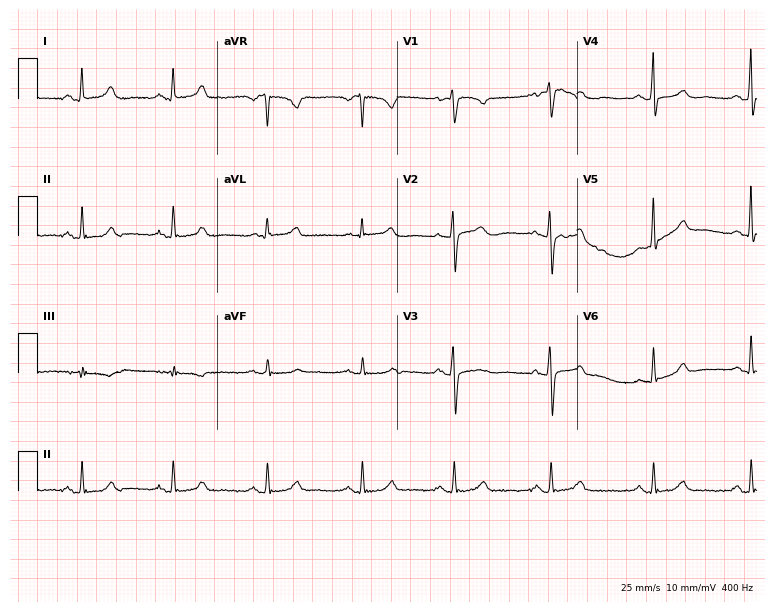
Standard 12-lead ECG recorded from a 48-year-old female patient. None of these six findings is recorded: first-degree AV block, right bundle branch block, left bundle branch block, sinus bradycardia, atrial fibrillation, sinus tachycardia. Other findings, if any, are not listed.